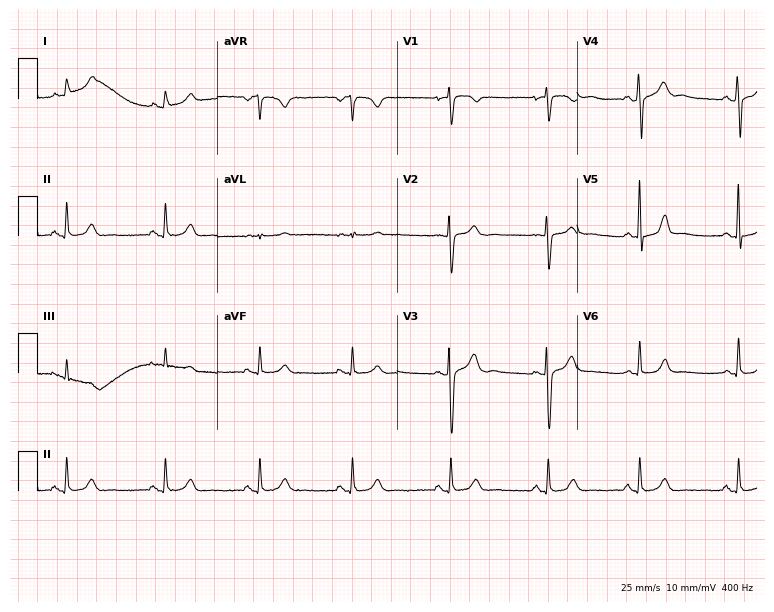
ECG (7.3-second recording at 400 Hz) — a 30-year-old female. Screened for six findings — first-degree AV block, right bundle branch block, left bundle branch block, sinus bradycardia, atrial fibrillation, sinus tachycardia — none is recorded. Only these six findings were labelled.